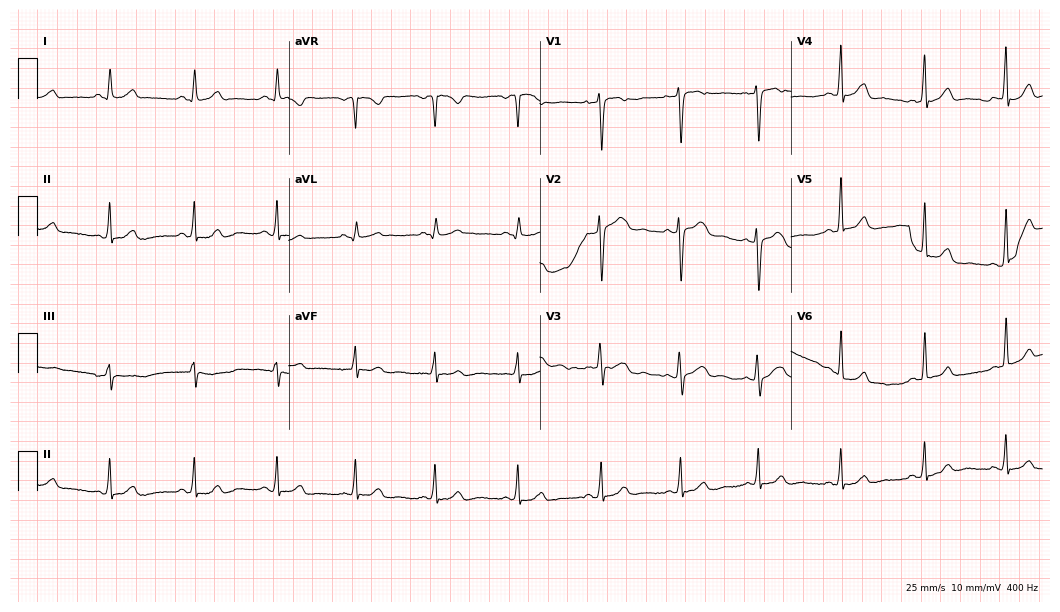
Electrocardiogram, a 34-year-old female. Of the six screened findings (first-degree AV block, right bundle branch block (RBBB), left bundle branch block (LBBB), sinus bradycardia, atrial fibrillation (AF), sinus tachycardia), none is recorded. Only these six findings were labelled.